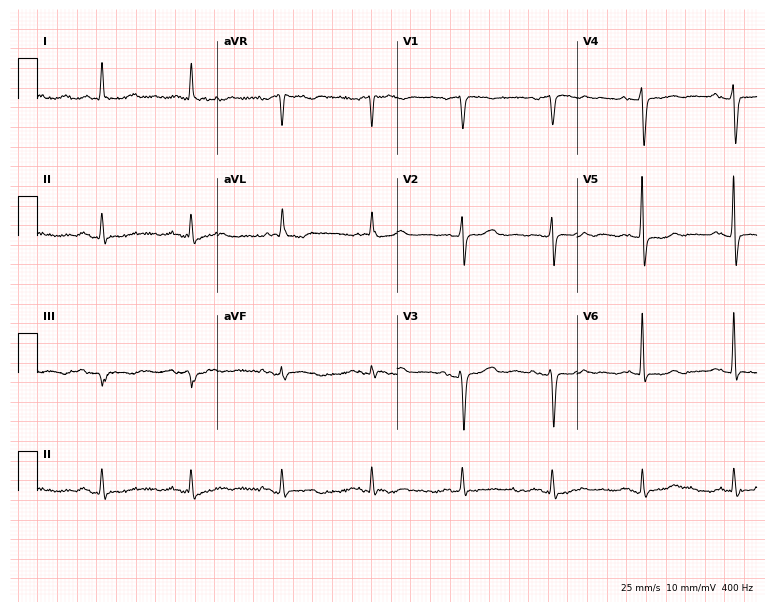
ECG (7.3-second recording at 400 Hz) — a 70-year-old female patient. Screened for six findings — first-degree AV block, right bundle branch block (RBBB), left bundle branch block (LBBB), sinus bradycardia, atrial fibrillation (AF), sinus tachycardia — none is recorded. Only these six findings were labelled.